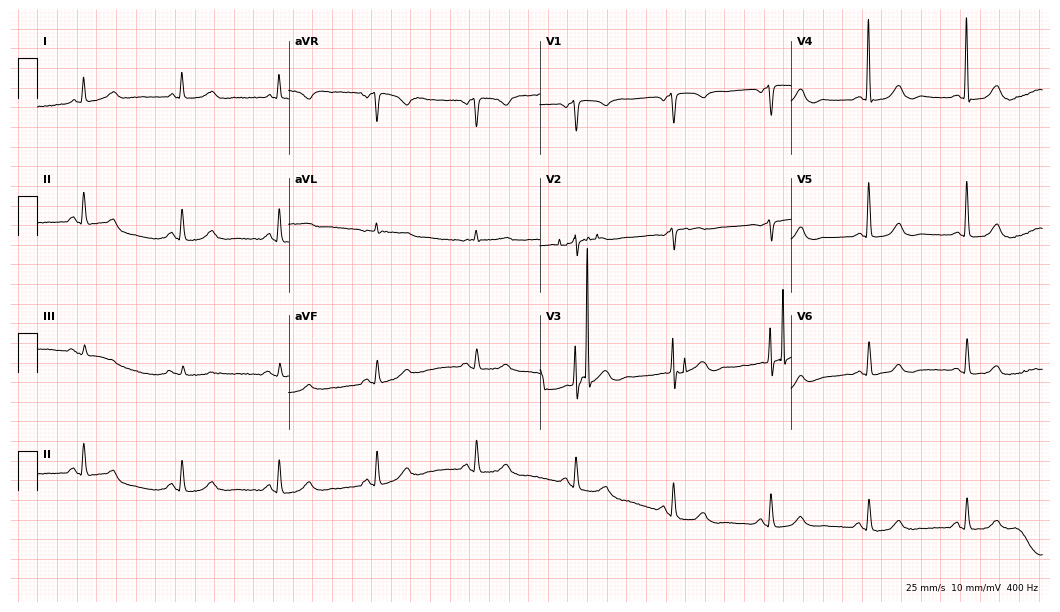
Standard 12-lead ECG recorded from a 73-year-old female patient. None of these six findings is recorded: first-degree AV block, right bundle branch block, left bundle branch block, sinus bradycardia, atrial fibrillation, sinus tachycardia. Findings outside these six are not listed.